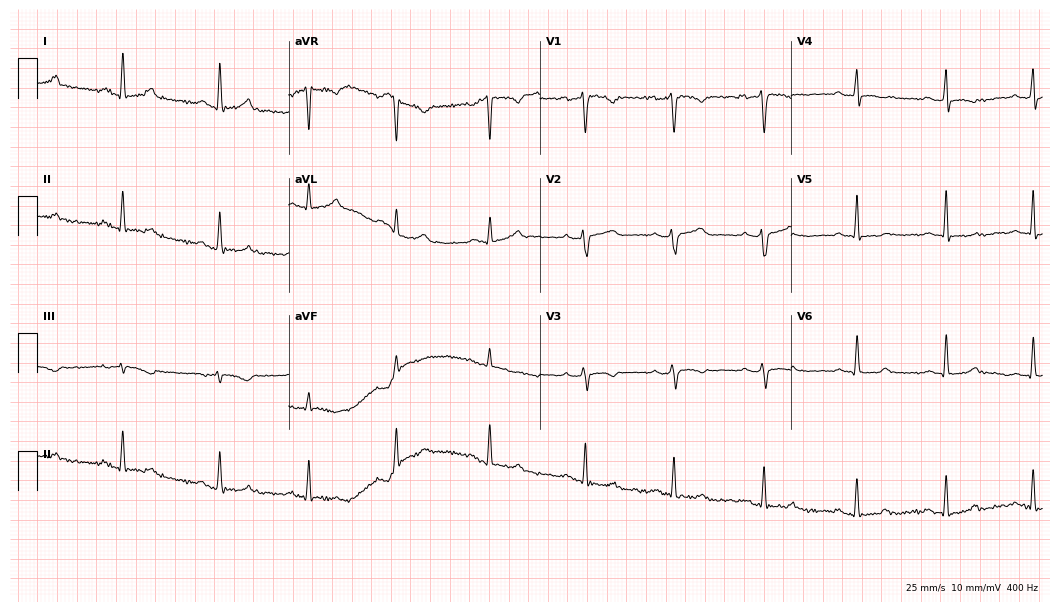
Resting 12-lead electrocardiogram. Patient: a female, 36 years old. Read as a normal ECG.